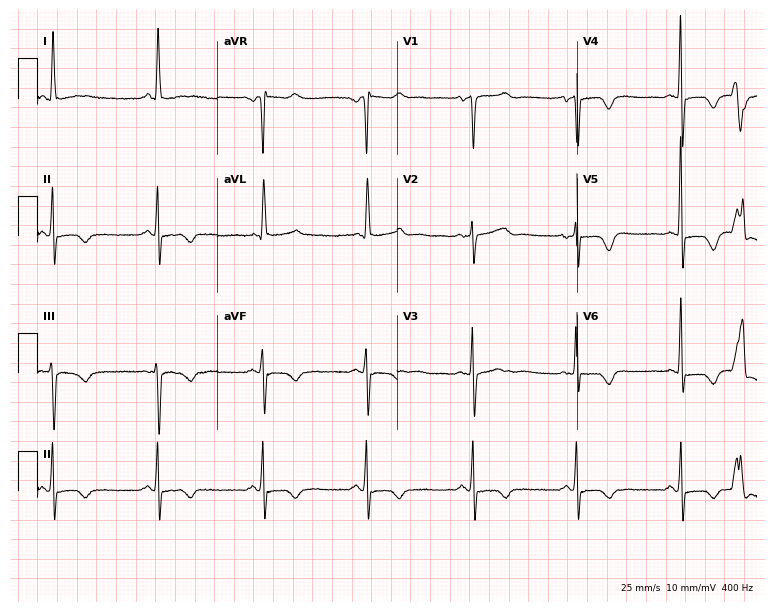
Electrocardiogram (7.3-second recording at 400 Hz), a woman, 72 years old. Of the six screened findings (first-degree AV block, right bundle branch block, left bundle branch block, sinus bradycardia, atrial fibrillation, sinus tachycardia), none is recorded.